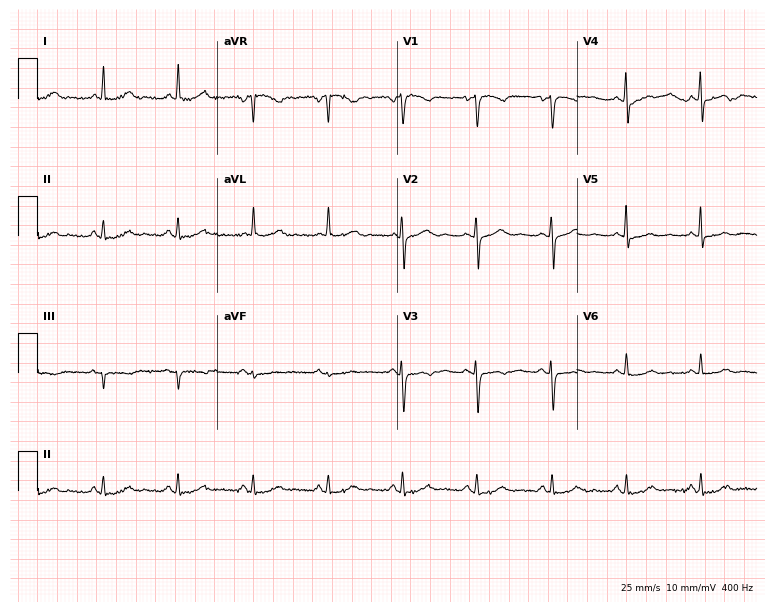
Electrocardiogram (7.3-second recording at 400 Hz), a 59-year-old woman. Overall reading on record: normal ECG.